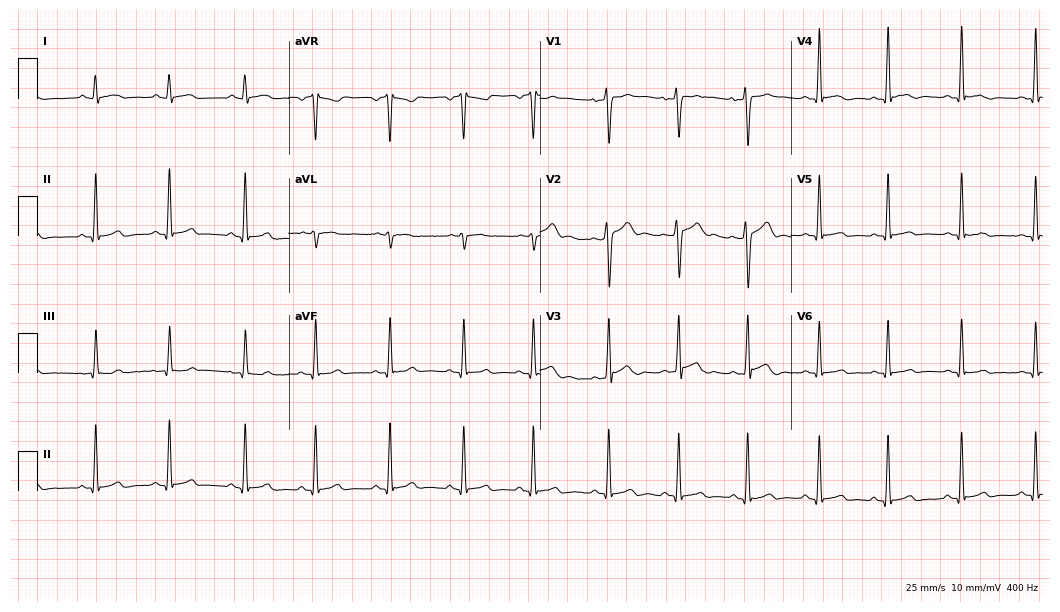
ECG (10.2-second recording at 400 Hz) — a 20-year-old male patient. Labelled as a normal ECG.